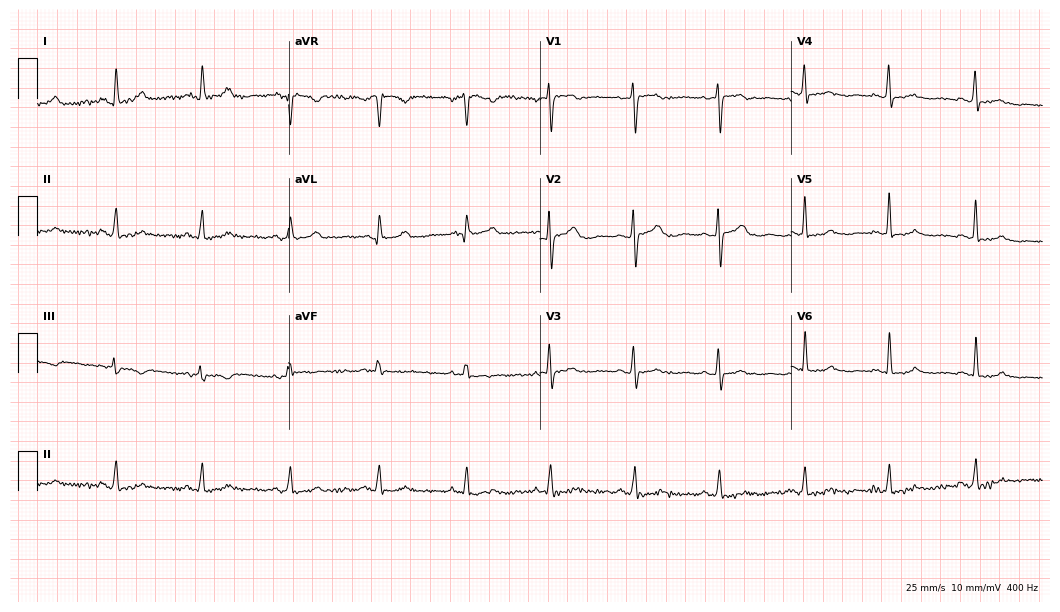
ECG (10.2-second recording at 400 Hz) — a female patient, 40 years old. Screened for six findings — first-degree AV block, right bundle branch block, left bundle branch block, sinus bradycardia, atrial fibrillation, sinus tachycardia — none is recorded. Only these six findings were labelled.